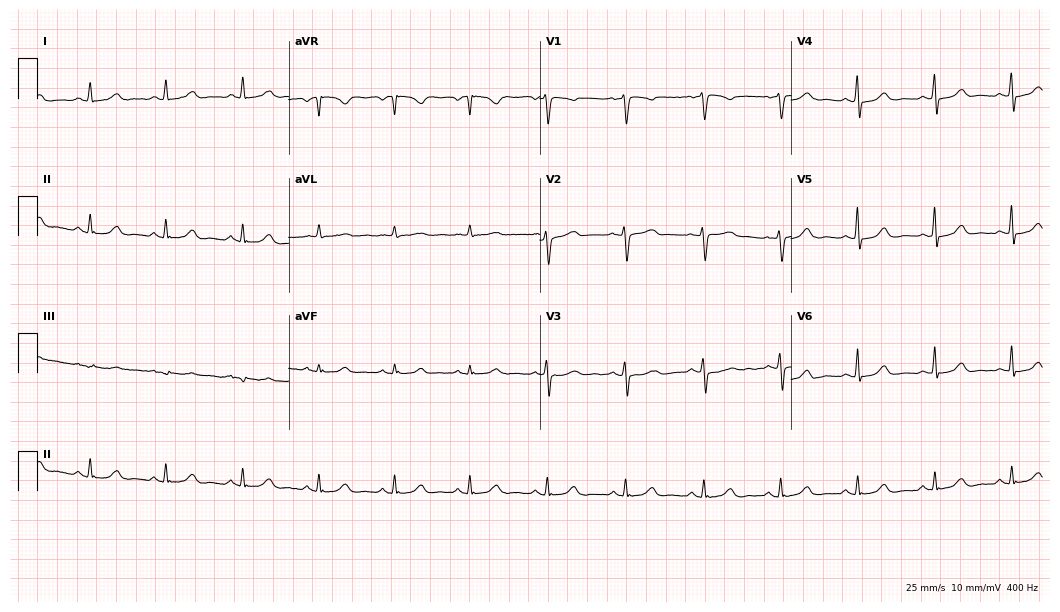
12-lead ECG (10.2-second recording at 400 Hz) from a 58-year-old woman. Screened for six findings — first-degree AV block, right bundle branch block, left bundle branch block, sinus bradycardia, atrial fibrillation, sinus tachycardia — none is recorded.